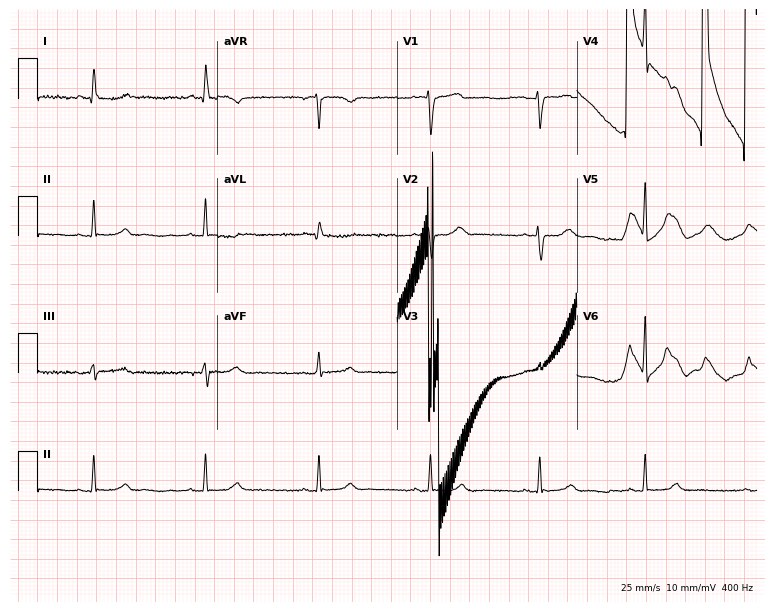
Resting 12-lead electrocardiogram. Patient: a 59-year-old woman. None of these six findings is recorded: first-degree AV block, right bundle branch block, left bundle branch block, sinus bradycardia, atrial fibrillation, sinus tachycardia.